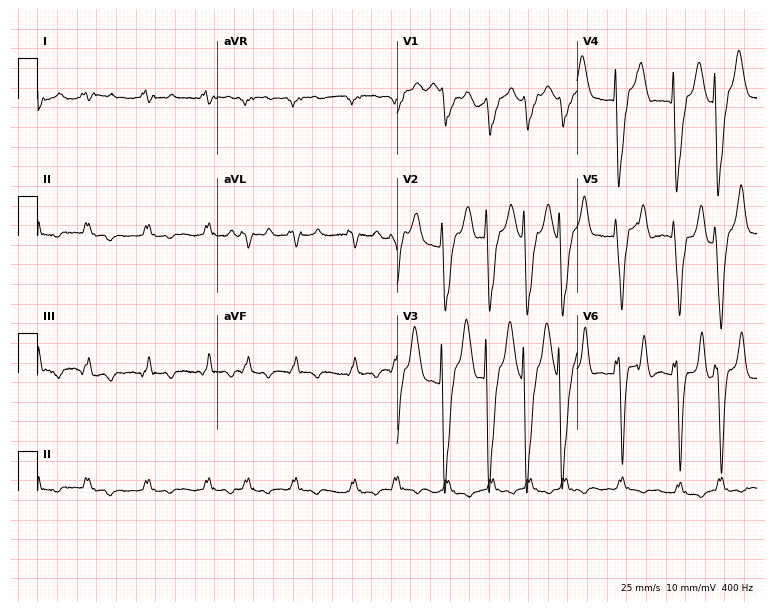
Standard 12-lead ECG recorded from a male patient, 68 years old. The tracing shows left bundle branch block (LBBB), atrial fibrillation (AF).